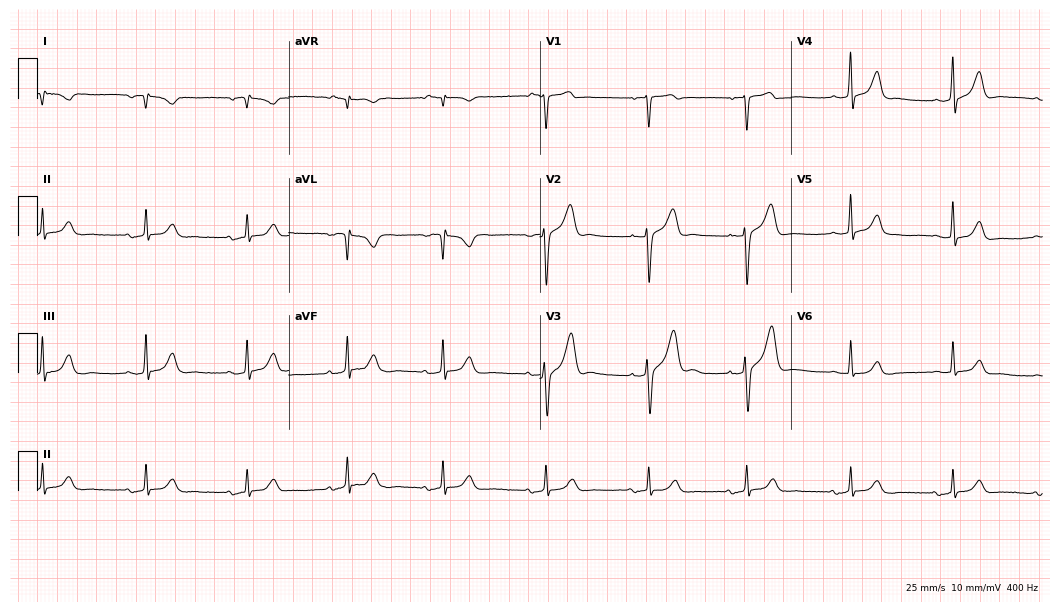
Electrocardiogram, a 52-year-old male. Of the six screened findings (first-degree AV block, right bundle branch block, left bundle branch block, sinus bradycardia, atrial fibrillation, sinus tachycardia), none is recorded. Other findings, if any, are not listed.